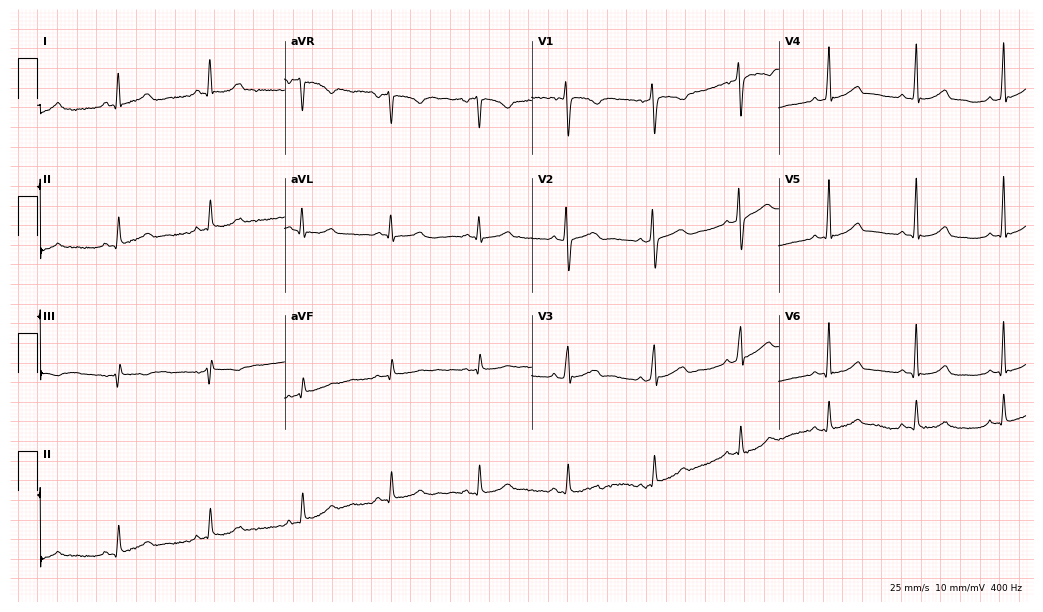
ECG — a woman, 28 years old. Labelled as a normal ECG.